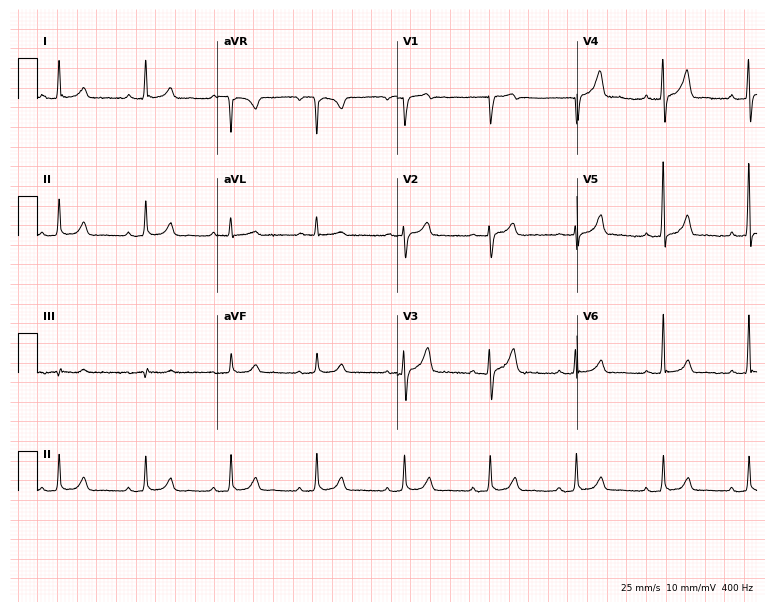
Electrocardiogram (7.3-second recording at 400 Hz), an 81-year-old man. Overall reading on record: normal ECG.